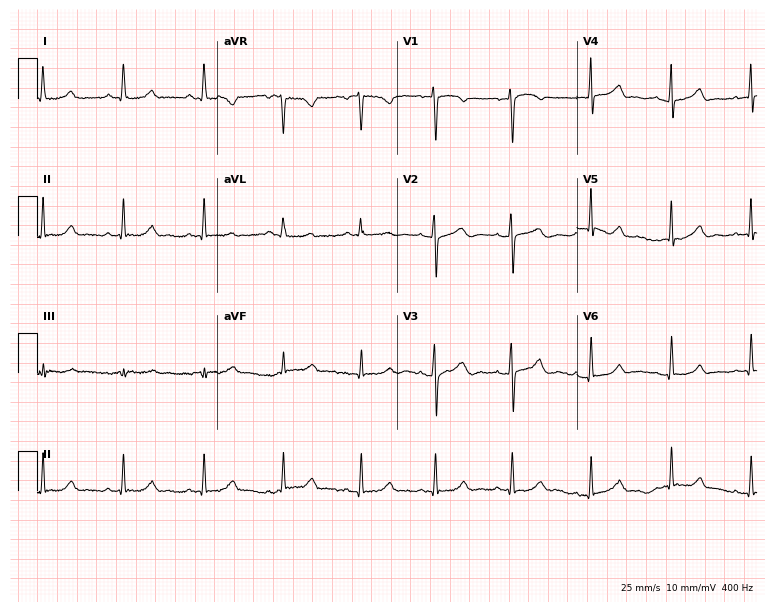
Electrocardiogram (7.3-second recording at 400 Hz), a 37-year-old female patient. Overall reading on record: normal ECG.